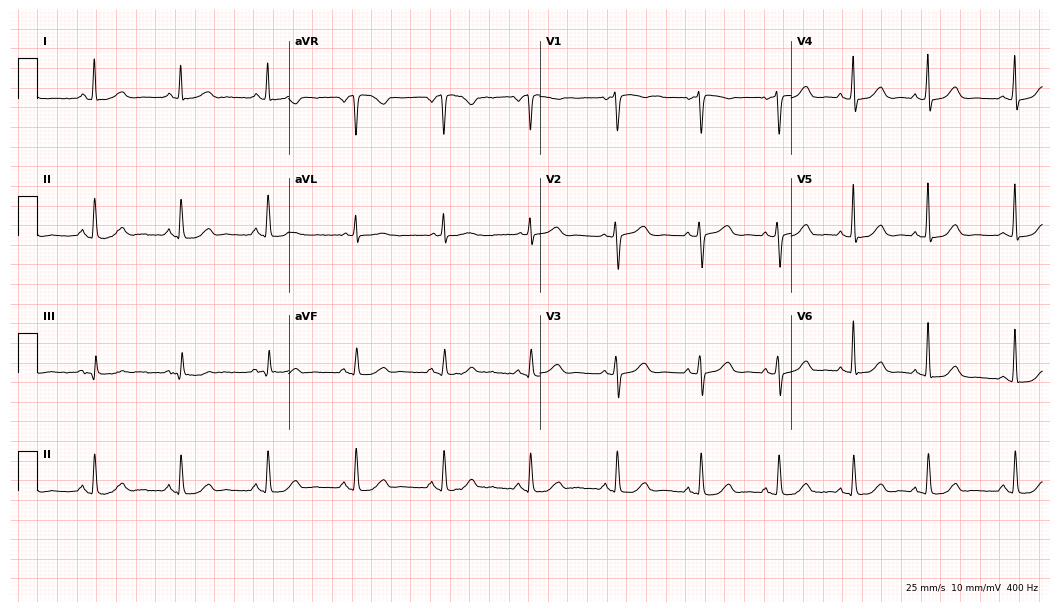
12-lead ECG from a female patient, 67 years old. No first-degree AV block, right bundle branch block, left bundle branch block, sinus bradycardia, atrial fibrillation or sinus tachycardia recorded for this tracing. Other findings, if any, are not listed.